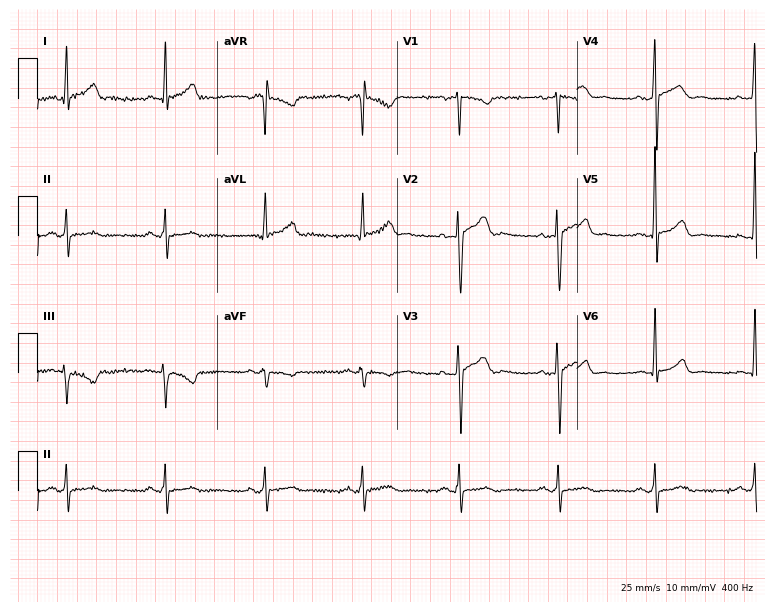
ECG (7.3-second recording at 400 Hz) — a male, 40 years old. Labelled as a normal ECG.